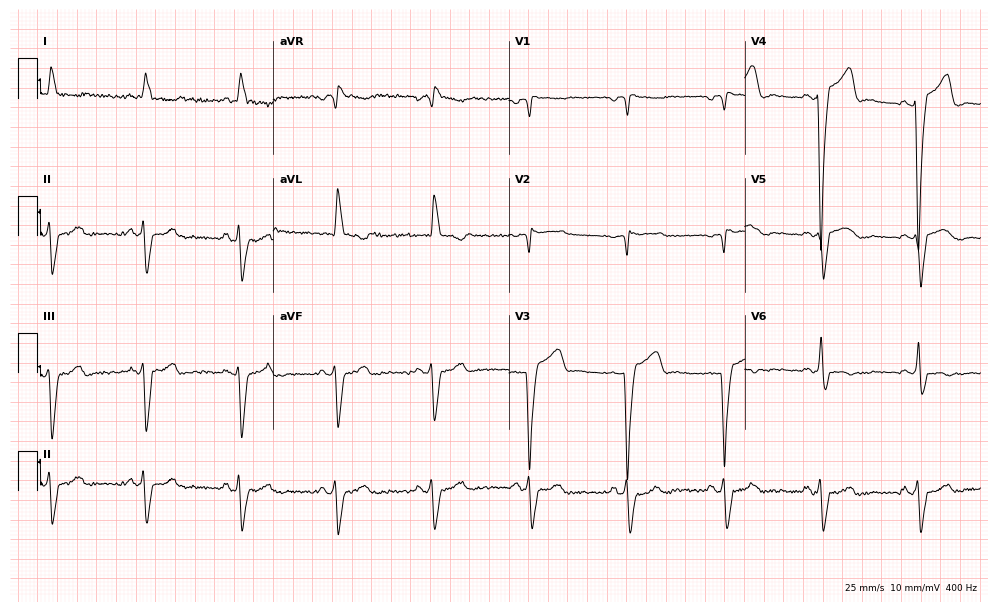
Electrocardiogram, a male, 77 years old. Of the six screened findings (first-degree AV block, right bundle branch block, left bundle branch block, sinus bradycardia, atrial fibrillation, sinus tachycardia), none is recorded.